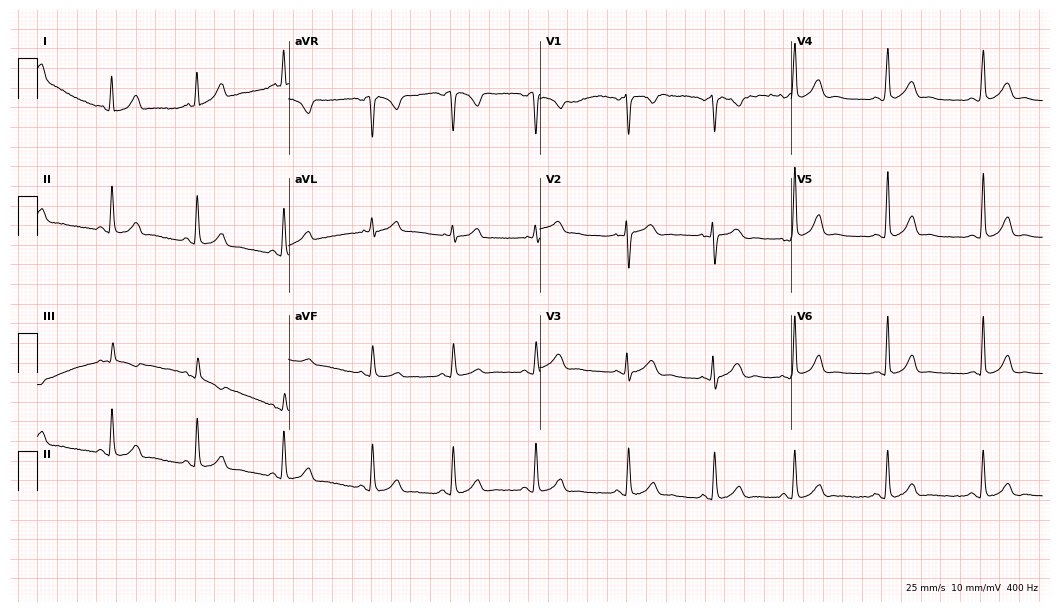
12-lead ECG (10.2-second recording at 400 Hz) from a 27-year-old female patient. Labelled as a normal ECG.